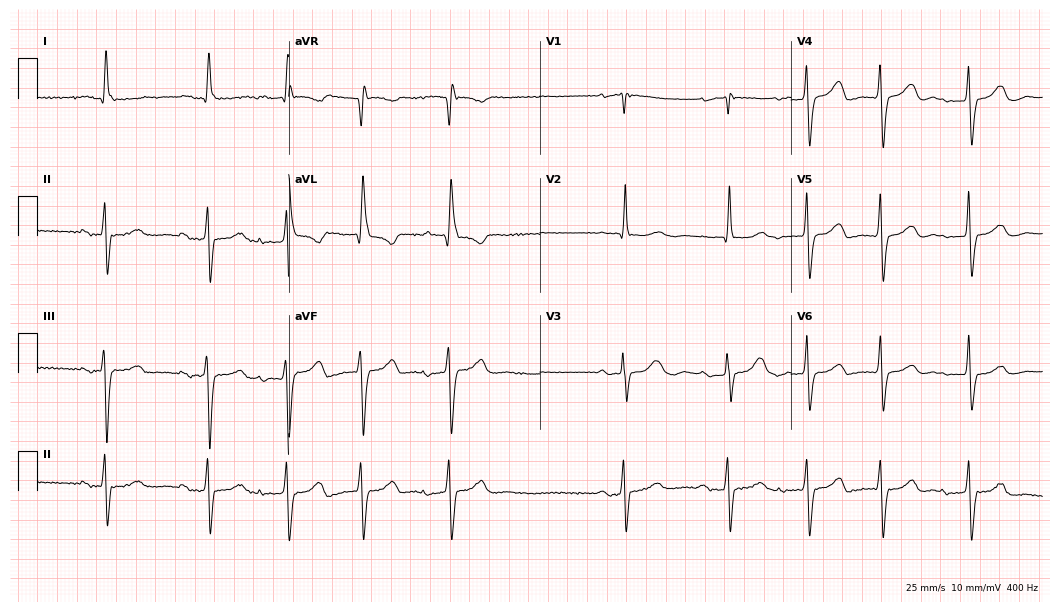
Standard 12-lead ECG recorded from a female, 85 years old (10.2-second recording at 400 Hz). The tracing shows right bundle branch block, atrial fibrillation.